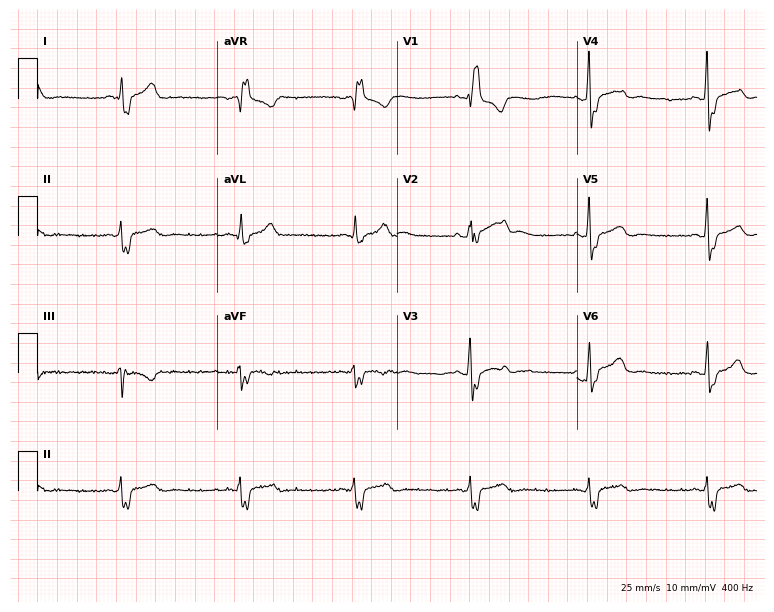
Resting 12-lead electrocardiogram (7.3-second recording at 400 Hz). Patient: a male, 42 years old. The tracing shows right bundle branch block (RBBB).